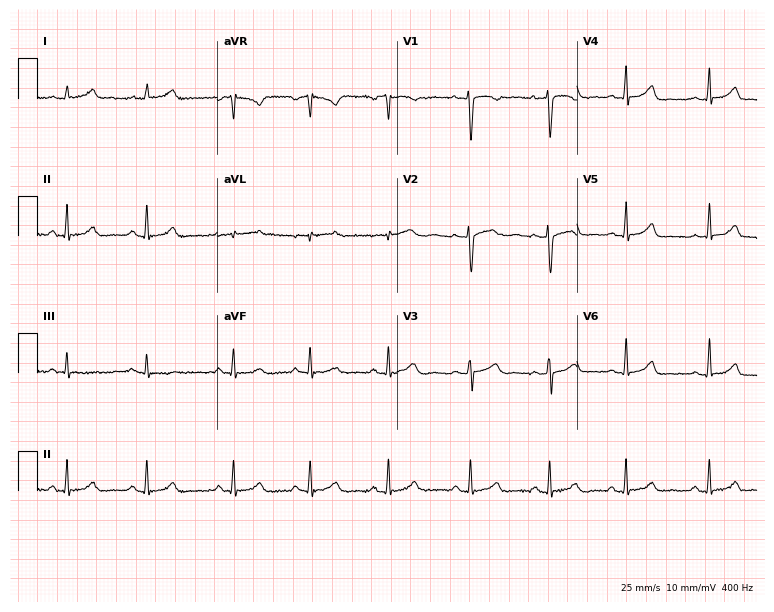
Electrocardiogram, a female patient, 26 years old. Overall reading on record: normal ECG.